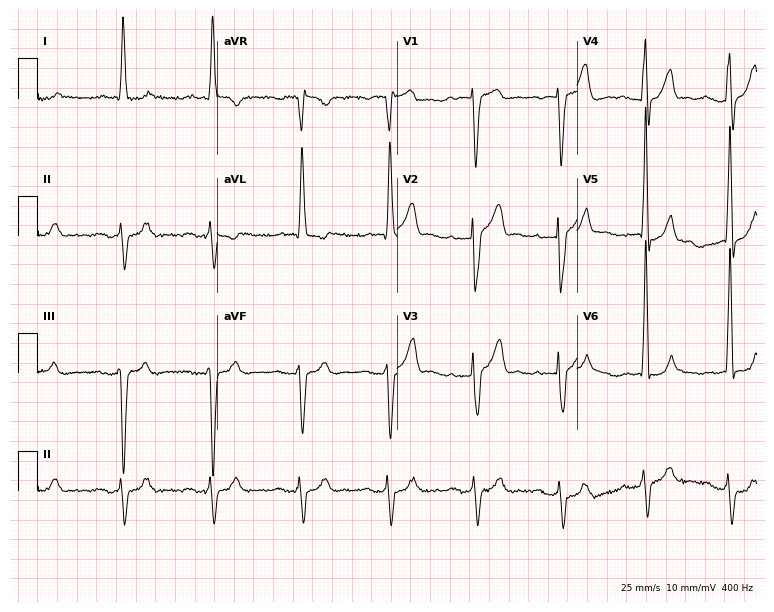
Resting 12-lead electrocardiogram. Patient: an 82-year-old male. None of these six findings is recorded: first-degree AV block, right bundle branch block, left bundle branch block, sinus bradycardia, atrial fibrillation, sinus tachycardia. Other findings, if any, are not listed.